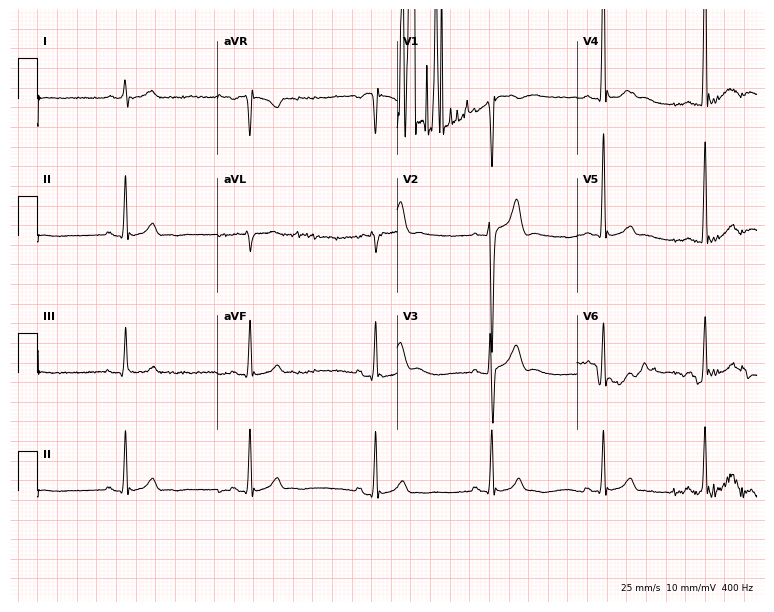
ECG (7.3-second recording at 400 Hz) — a male, 20 years old. Screened for six findings — first-degree AV block, right bundle branch block (RBBB), left bundle branch block (LBBB), sinus bradycardia, atrial fibrillation (AF), sinus tachycardia — none is recorded. Findings outside these six are not listed.